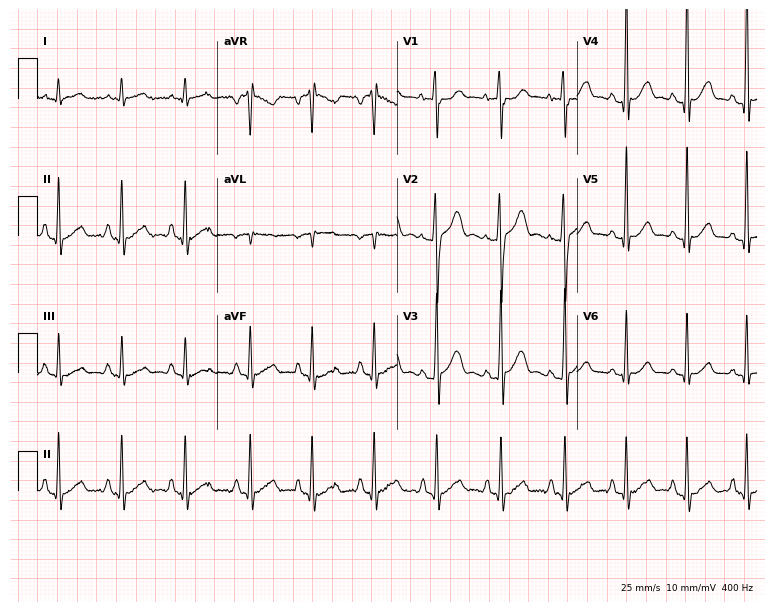
12-lead ECG (7.3-second recording at 400 Hz) from a male patient, 17 years old. Labelled as a normal ECG.